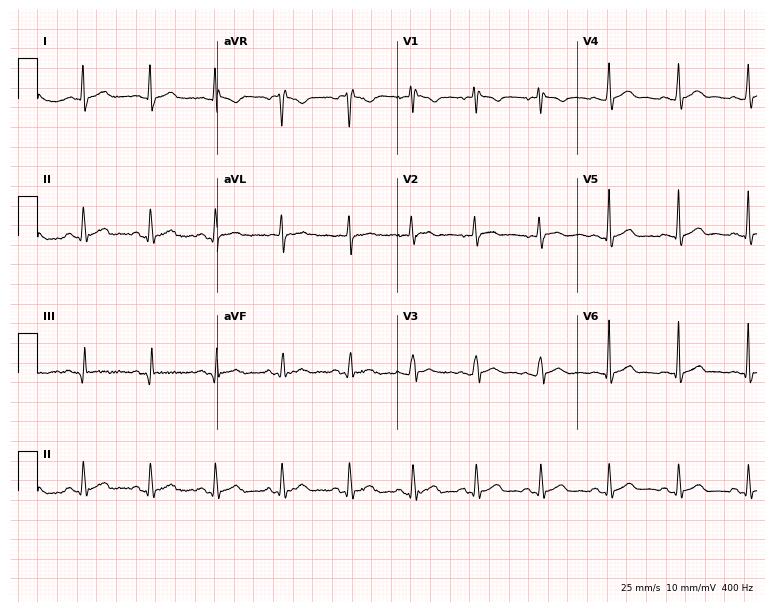
12-lead ECG from a 19-year-old male. Labelled as a normal ECG.